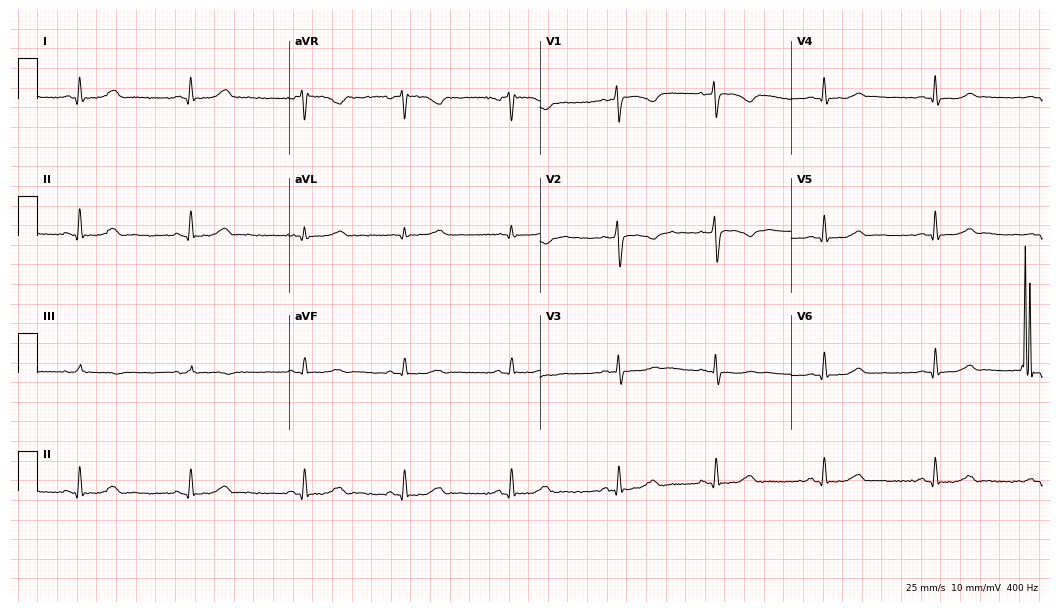
12-lead ECG from a female, 32 years old. No first-degree AV block, right bundle branch block (RBBB), left bundle branch block (LBBB), sinus bradycardia, atrial fibrillation (AF) or sinus tachycardia recorded for this tracing.